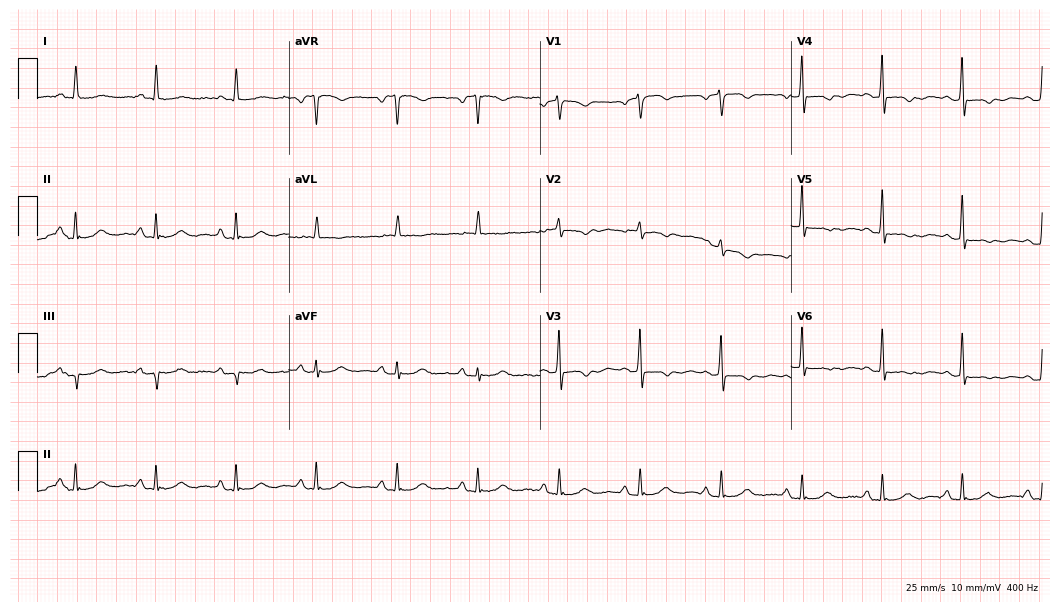
ECG — a woman, 75 years old. Screened for six findings — first-degree AV block, right bundle branch block (RBBB), left bundle branch block (LBBB), sinus bradycardia, atrial fibrillation (AF), sinus tachycardia — none is recorded.